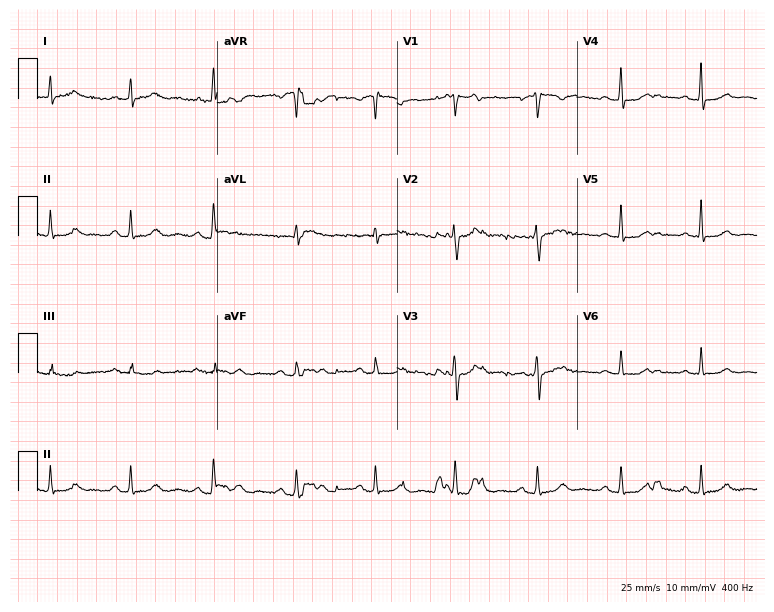
Resting 12-lead electrocardiogram. Patient: a female, 33 years old. Read as a normal ECG.